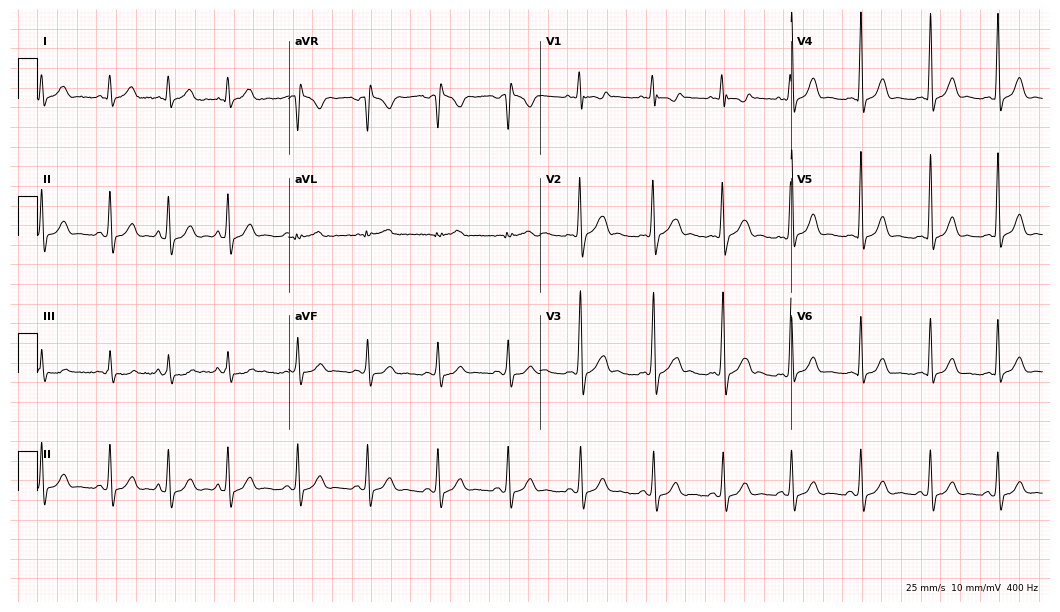
Resting 12-lead electrocardiogram. Patient: a 21-year-old female. Read as a normal ECG.